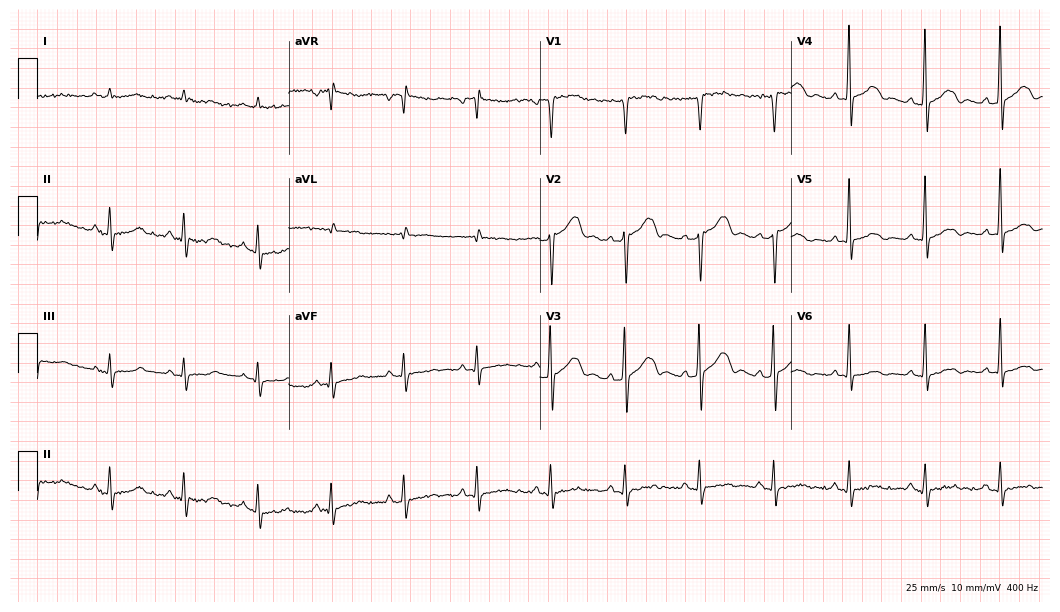
Standard 12-lead ECG recorded from a 65-year-old male patient. None of these six findings is recorded: first-degree AV block, right bundle branch block (RBBB), left bundle branch block (LBBB), sinus bradycardia, atrial fibrillation (AF), sinus tachycardia. Only these six findings were labelled.